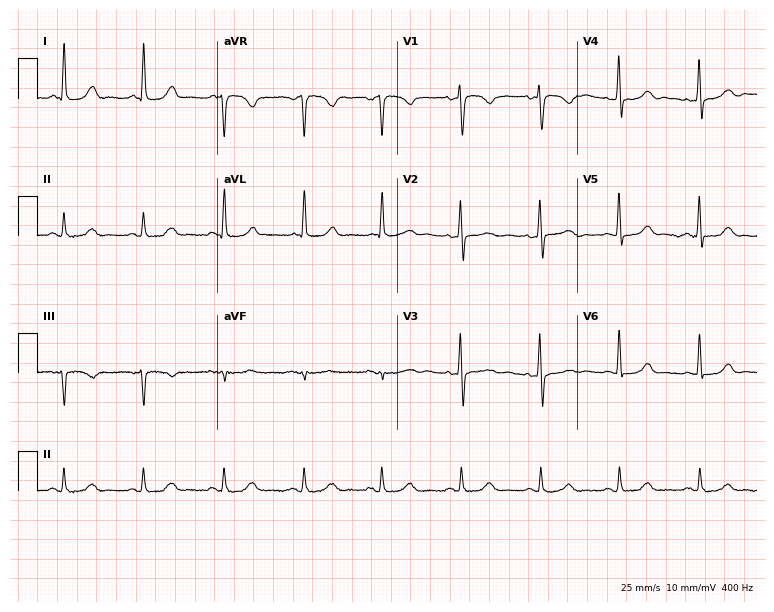
Resting 12-lead electrocardiogram (7.3-second recording at 400 Hz). Patient: a 37-year-old female. Read as a normal ECG.